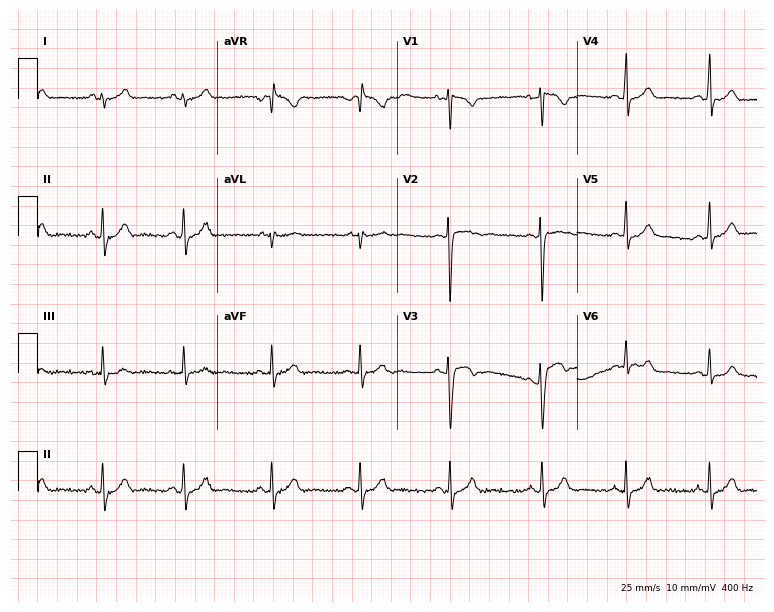
Electrocardiogram, a man, 21 years old. Of the six screened findings (first-degree AV block, right bundle branch block, left bundle branch block, sinus bradycardia, atrial fibrillation, sinus tachycardia), none is recorded. Only these six findings were labelled.